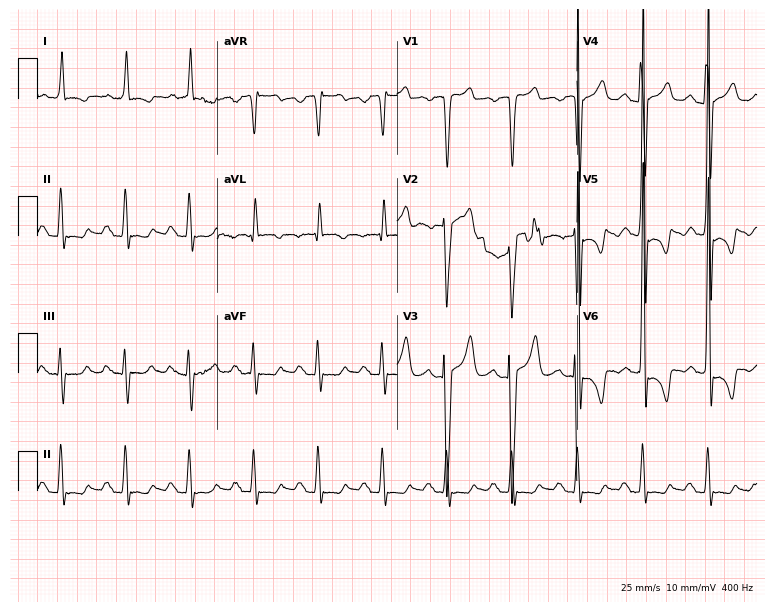
Resting 12-lead electrocardiogram. Patient: a 61-year-old male. None of these six findings is recorded: first-degree AV block, right bundle branch block, left bundle branch block, sinus bradycardia, atrial fibrillation, sinus tachycardia.